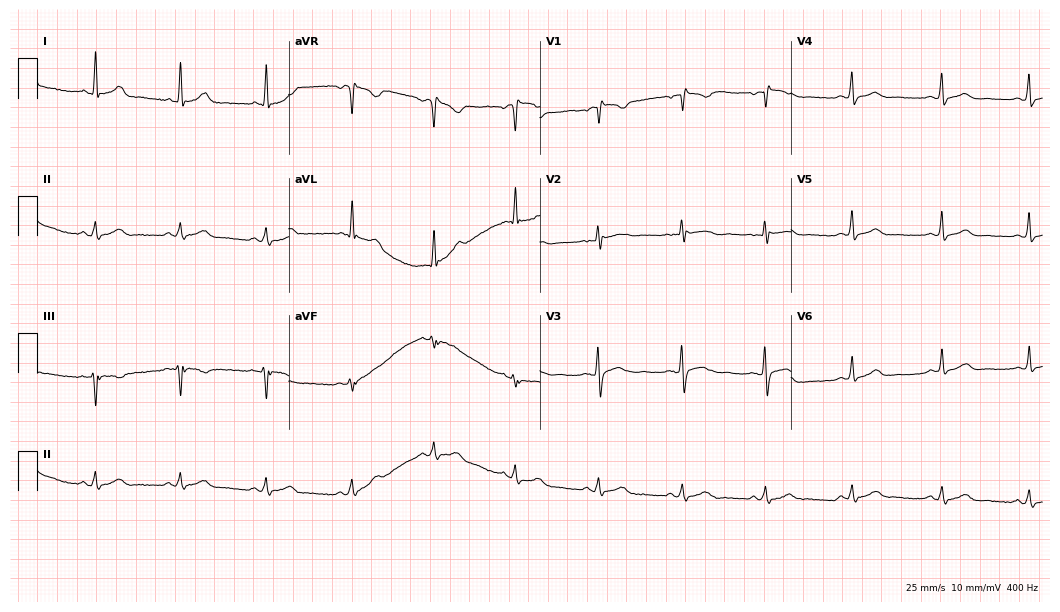
12-lead ECG from a 35-year-old female. Screened for six findings — first-degree AV block, right bundle branch block (RBBB), left bundle branch block (LBBB), sinus bradycardia, atrial fibrillation (AF), sinus tachycardia — none is recorded. Findings outside these six are not listed.